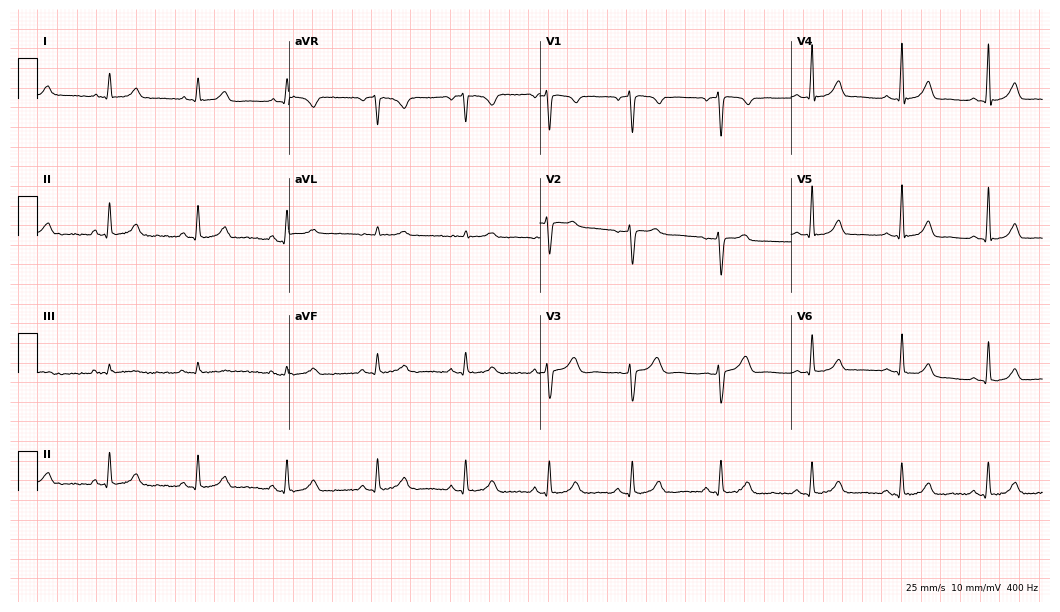
Resting 12-lead electrocardiogram. Patient: a female, 27 years old. None of these six findings is recorded: first-degree AV block, right bundle branch block, left bundle branch block, sinus bradycardia, atrial fibrillation, sinus tachycardia. Other findings, if any, are not listed.